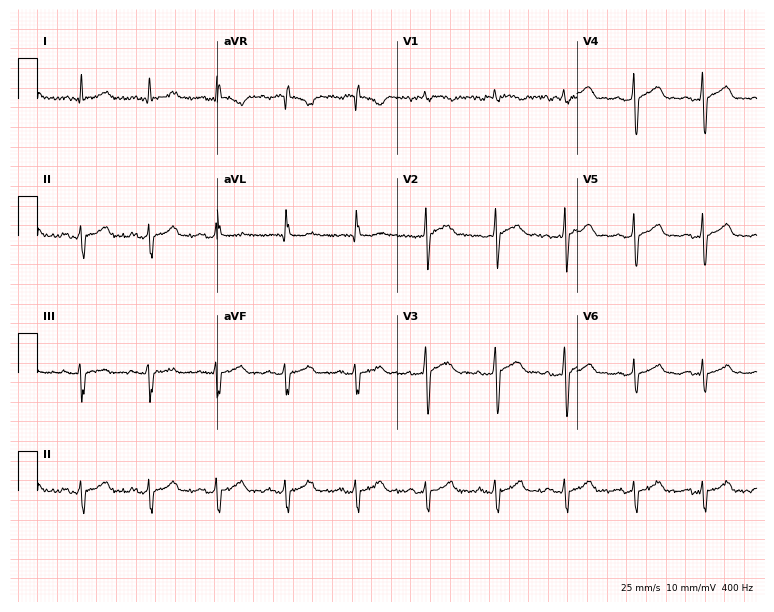
ECG — a male patient, 54 years old. Screened for six findings — first-degree AV block, right bundle branch block, left bundle branch block, sinus bradycardia, atrial fibrillation, sinus tachycardia — none is recorded.